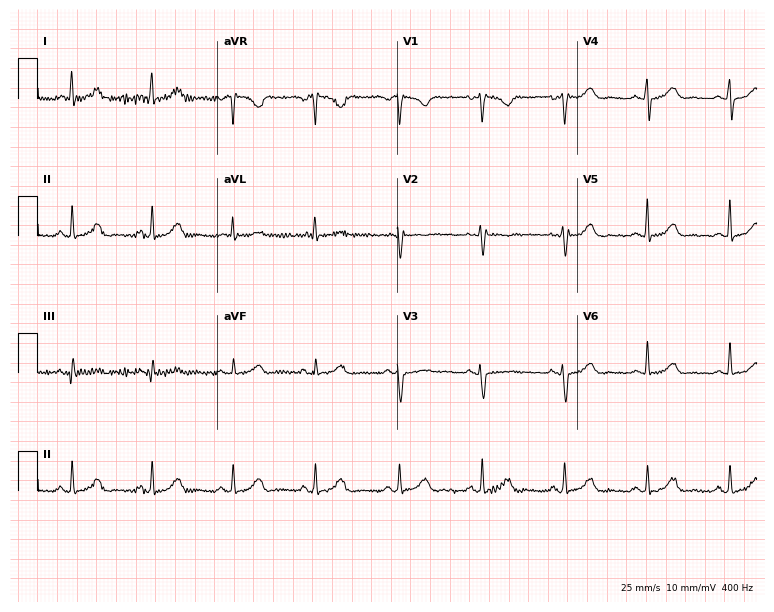
Electrocardiogram, a female patient, 53 years old. Of the six screened findings (first-degree AV block, right bundle branch block, left bundle branch block, sinus bradycardia, atrial fibrillation, sinus tachycardia), none is recorded.